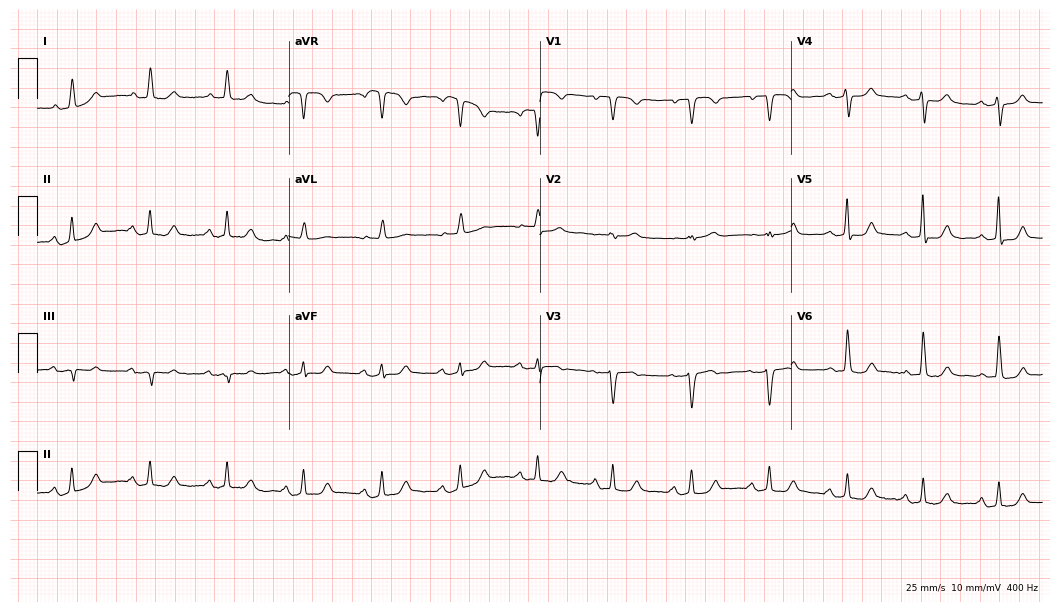
12-lead ECG from a female patient, 62 years old. Labelled as a normal ECG.